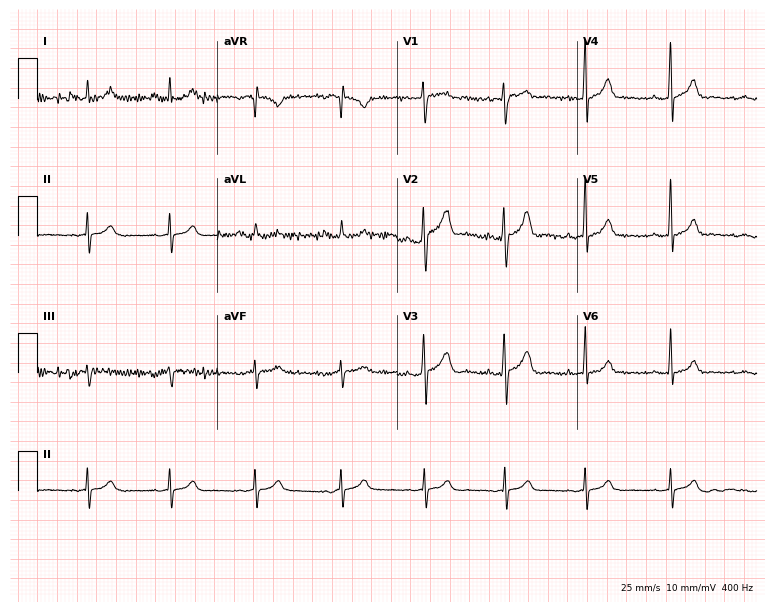
ECG (7.3-second recording at 400 Hz) — a male, 19 years old. Labelled as a normal ECG.